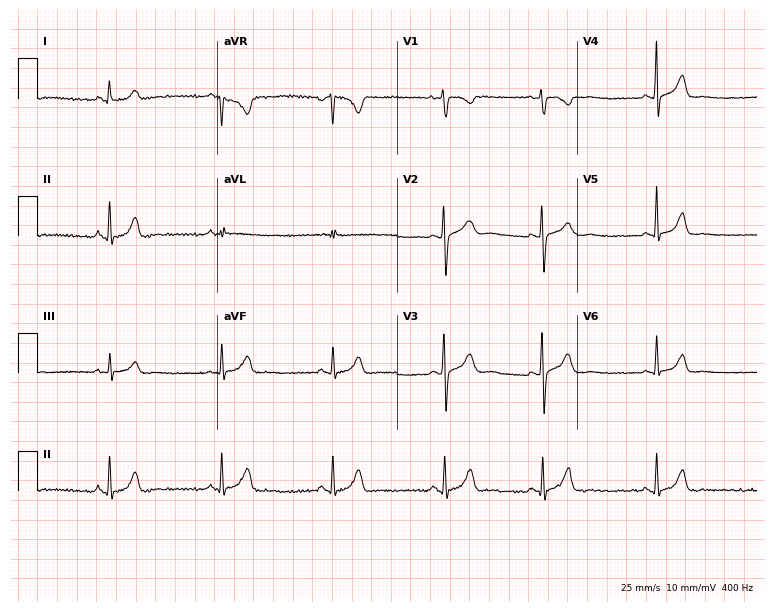
Standard 12-lead ECG recorded from an 18-year-old woman (7.3-second recording at 400 Hz). Read as a normal ECG.